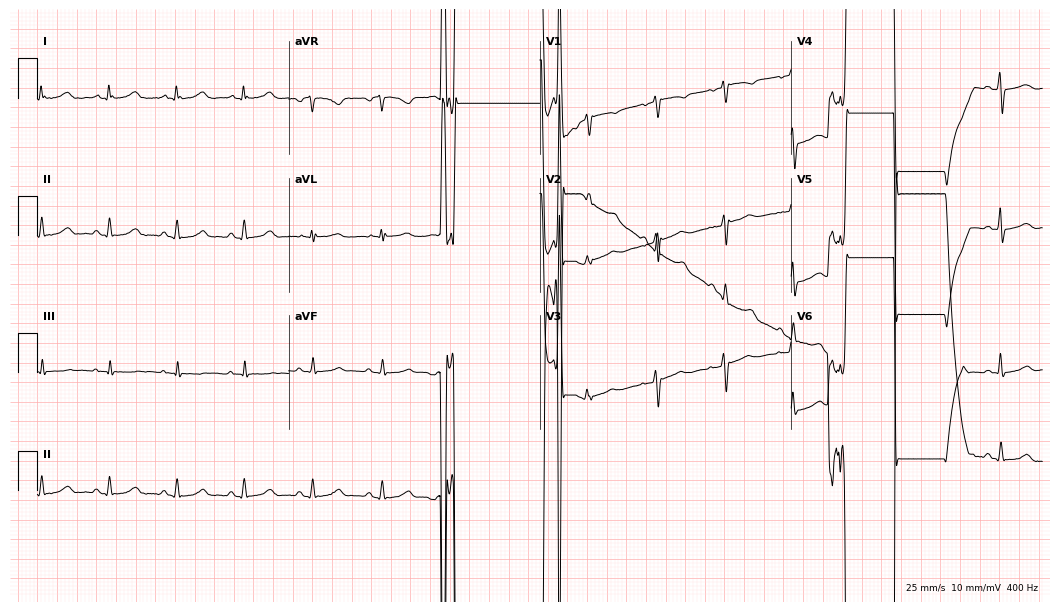
ECG — a 53-year-old woman. Labelled as a normal ECG.